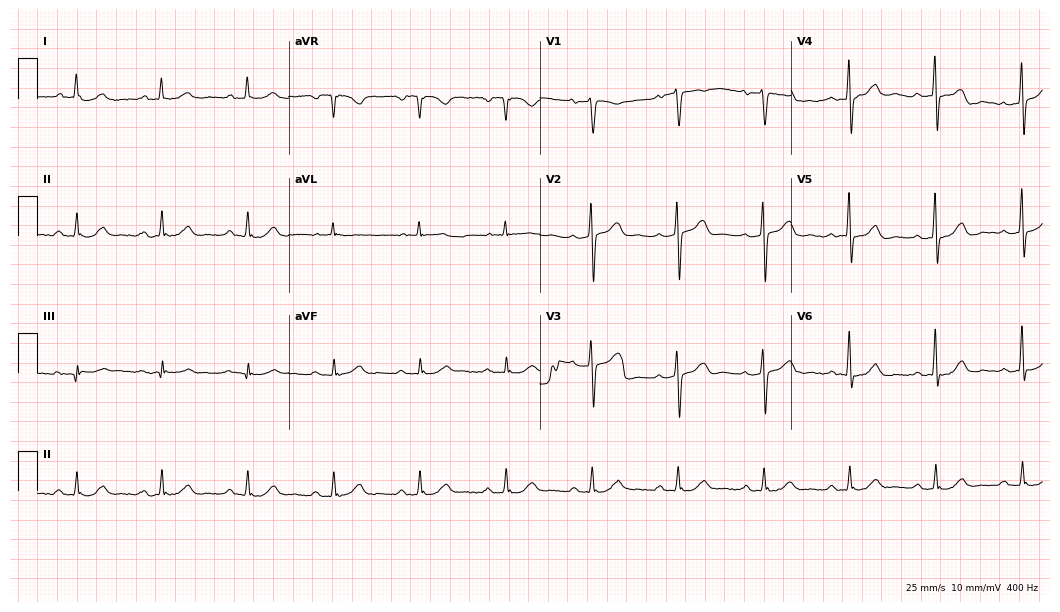
Resting 12-lead electrocardiogram (10.2-second recording at 400 Hz). Patient: a 68-year-old male. Read as a normal ECG.